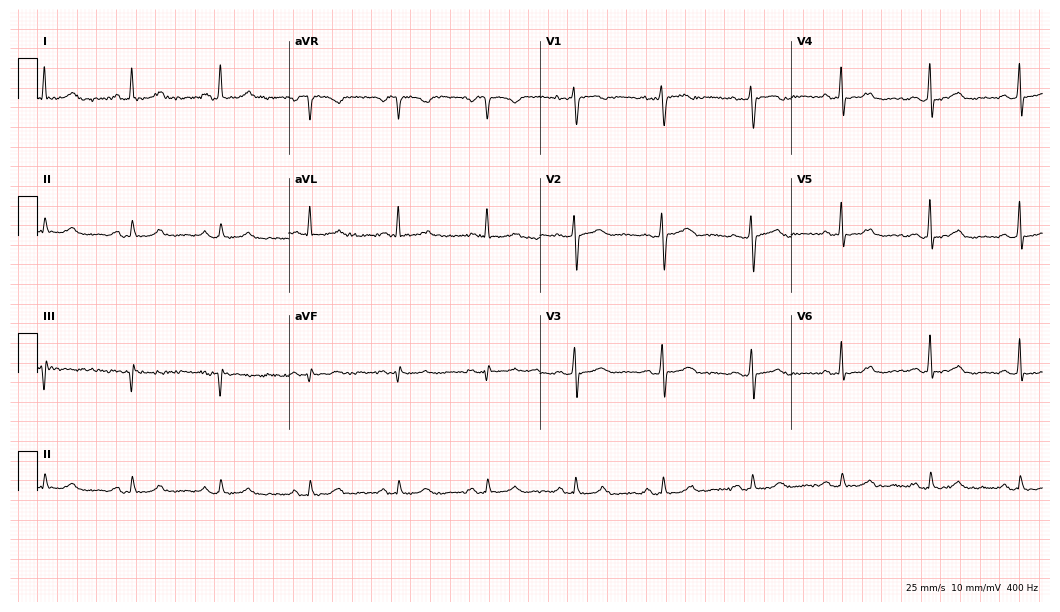
Resting 12-lead electrocardiogram (10.2-second recording at 400 Hz). Patient: a 49-year-old female. Read as a normal ECG.